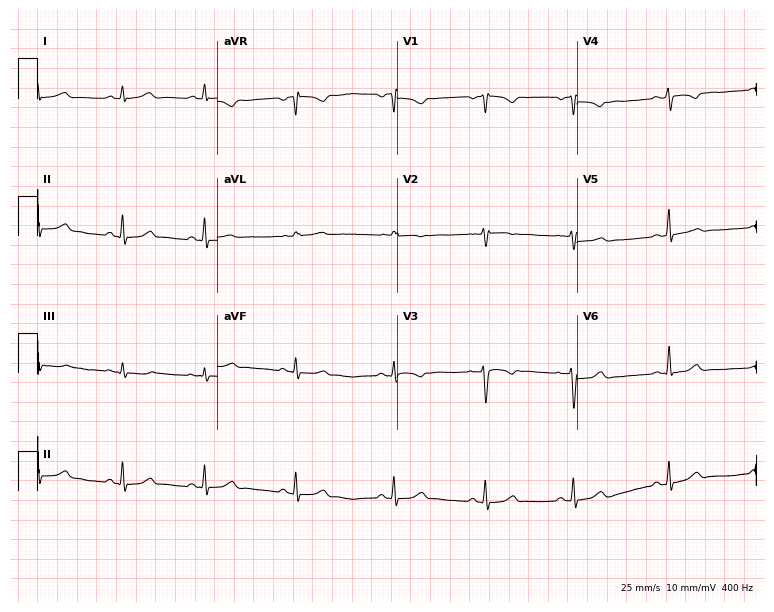
ECG (7.3-second recording at 400 Hz) — a female, 24 years old. Screened for six findings — first-degree AV block, right bundle branch block, left bundle branch block, sinus bradycardia, atrial fibrillation, sinus tachycardia — none is recorded.